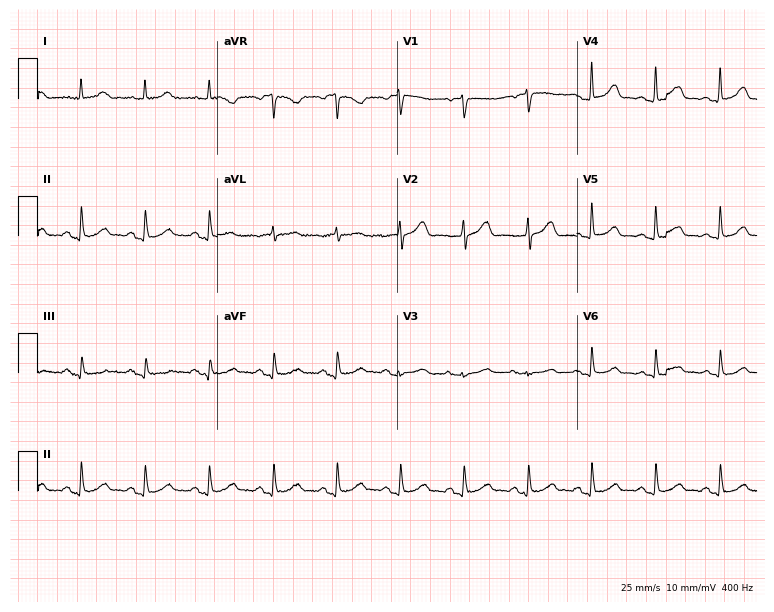
ECG — an 80-year-old female. Labelled as a normal ECG.